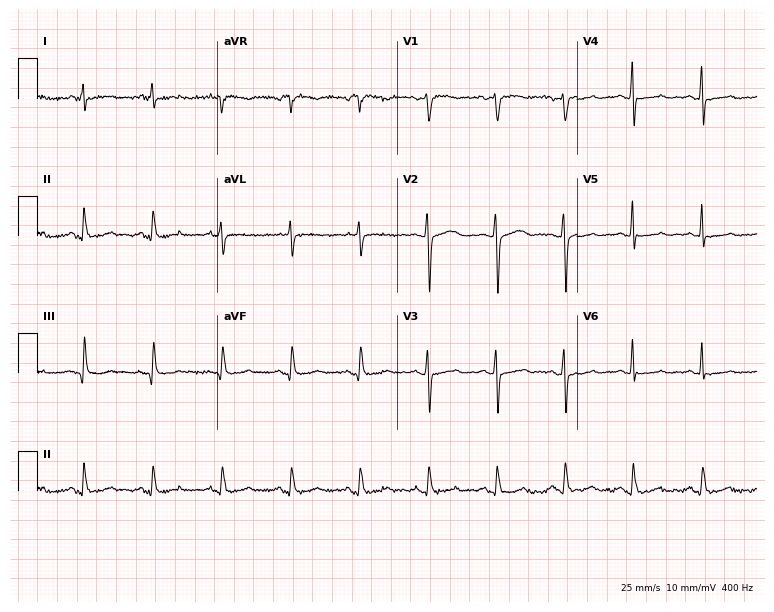
Electrocardiogram (7.3-second recording at 400 Hz), a woman, 56 years old. Of the six screened findings (first-degree AV block, right bundle branch block (RBBB), left bundle branch block (LBBB), sinus bradycardia, atrial fibrillation (AF), sinus tachycardia), none is recorded.